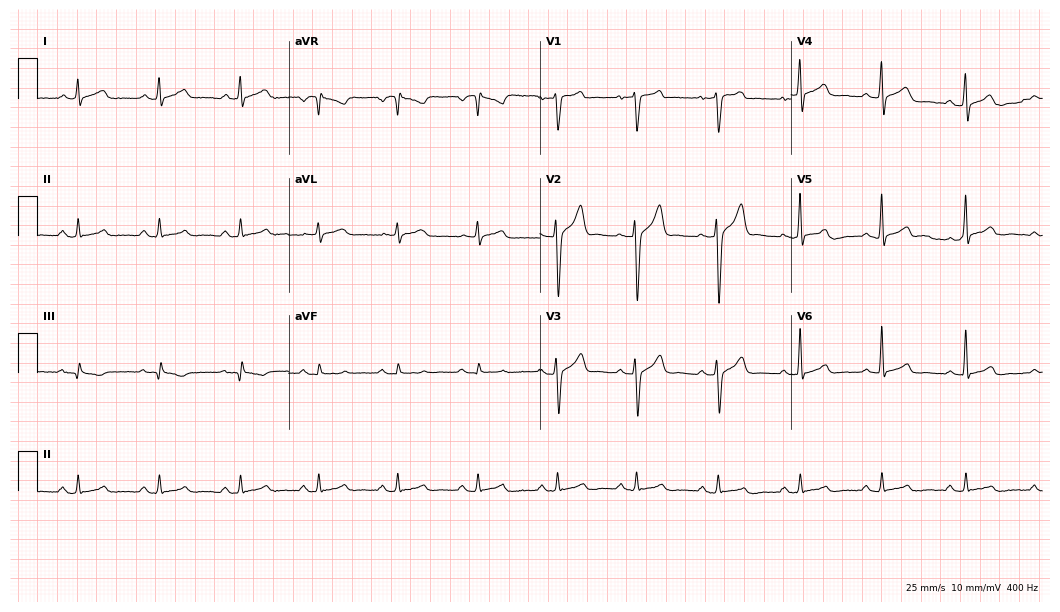
Standard 12-lead ECG recorded from a man, 42 years old. Read as a normal ECG.